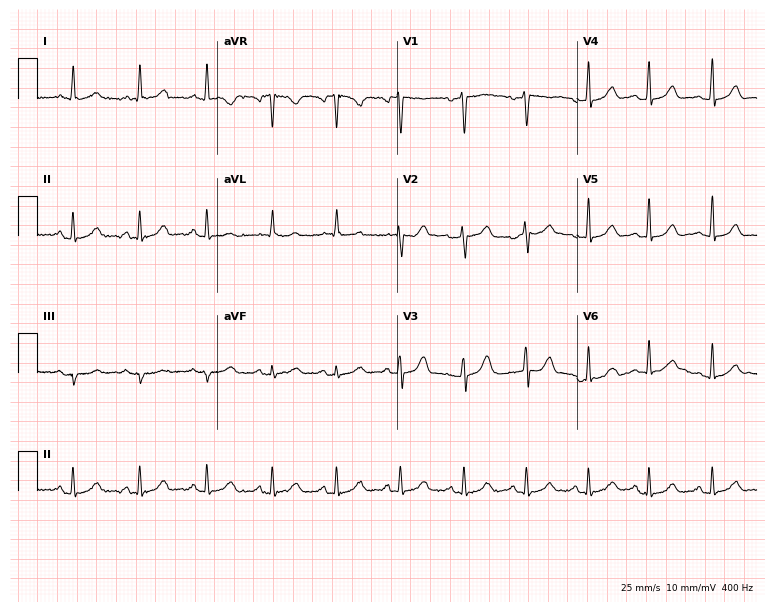
Resting 12-lead electrocardiogram. Patient: a female, 27 years old. Read as a normal ECG.